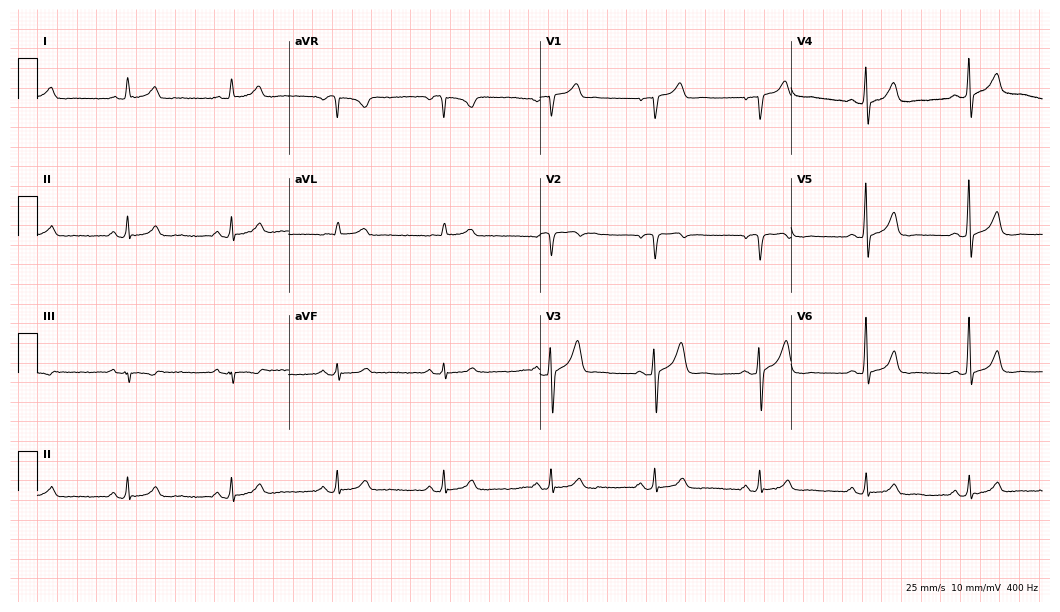
Standard 12-lead ECG recorded from a male, 66 years old (10.2-second recording at 400 Hz). Read as a normal ECG.